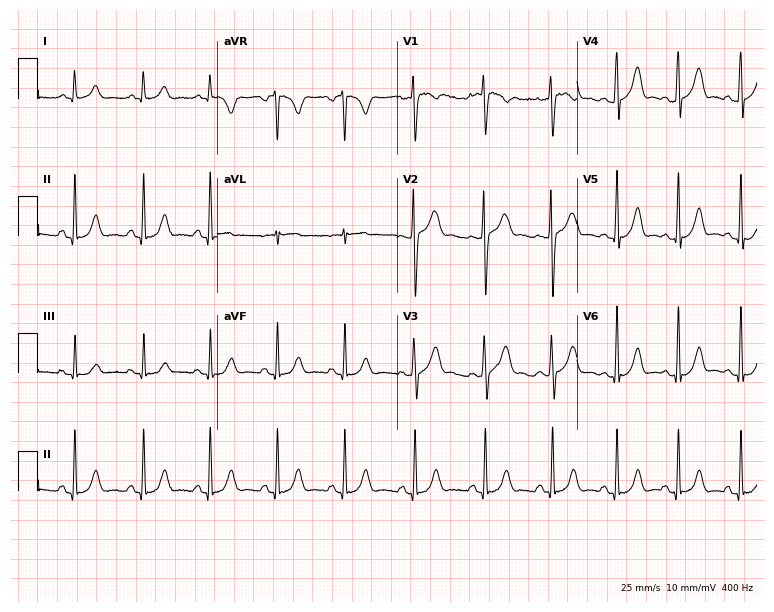
12-lead ECG from a 29-year-old woman. No first-degree AV block, right bundle branch block (RBBB), left bundle branch block (LBBB), sinus bradycardia, atrial fibrillation (AF) or sinus tachycardia recorded for this tracing.